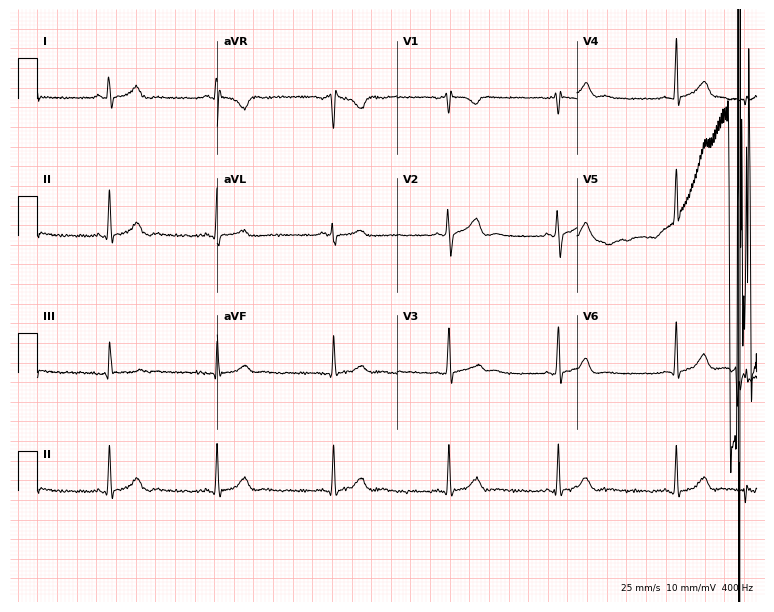
Electrocardiogram (7.3-second recording at 400 Hz), a female patient, 17 years old. Of the six screened findings (first-degree AV block, right bundle branch block, left bundle branch block, sinus bradycardia, atrial fibrillation, sinus tachycardia), none is recorded.